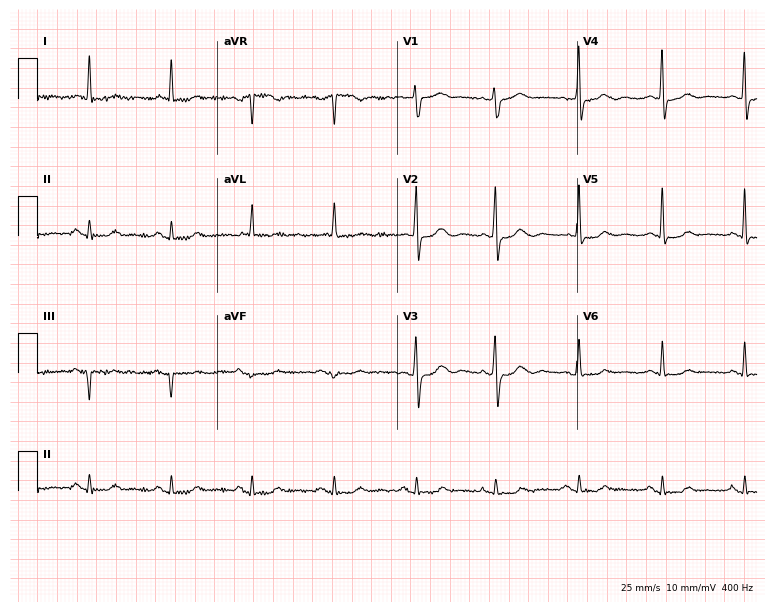
Resting 12-lead electrocardiogram. Patient: an 82-year-old female. Read as a normal ECG.